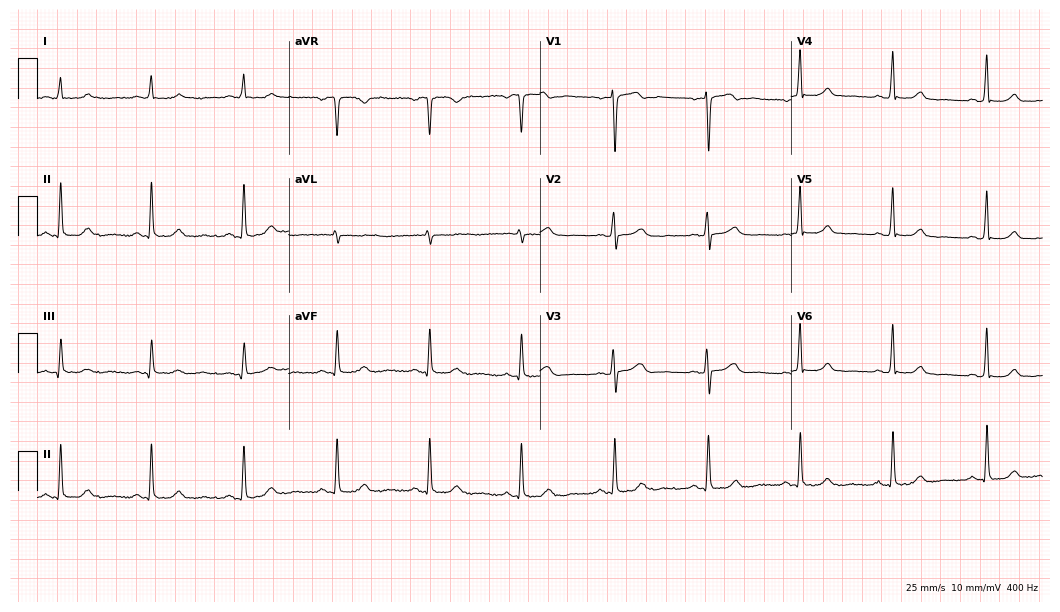
12-lead ECG from a female, 58 years old (10.2-second recording at 400 Hz). Recorded interpretation: within normal limits.